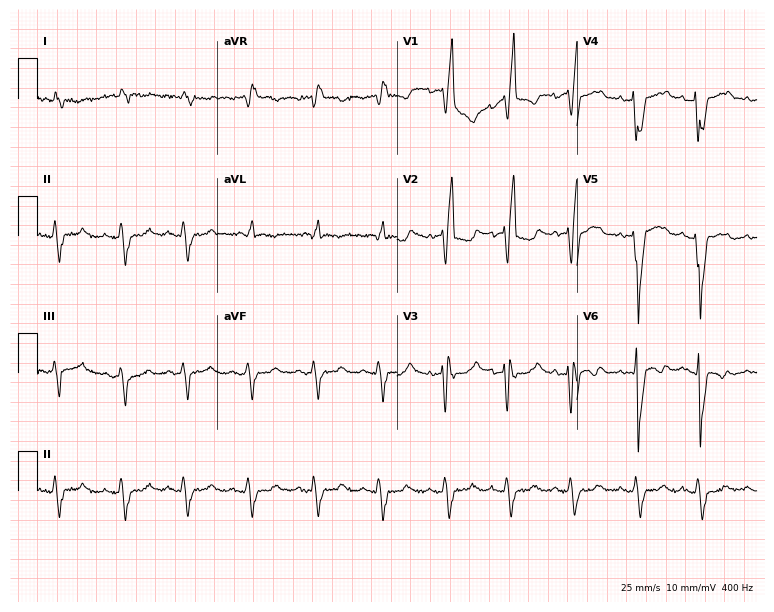
12-lead ECG (7.3-second recording at 400 Hz) from a 78-year-old male. Findings include right bundle branch block (RBBB).